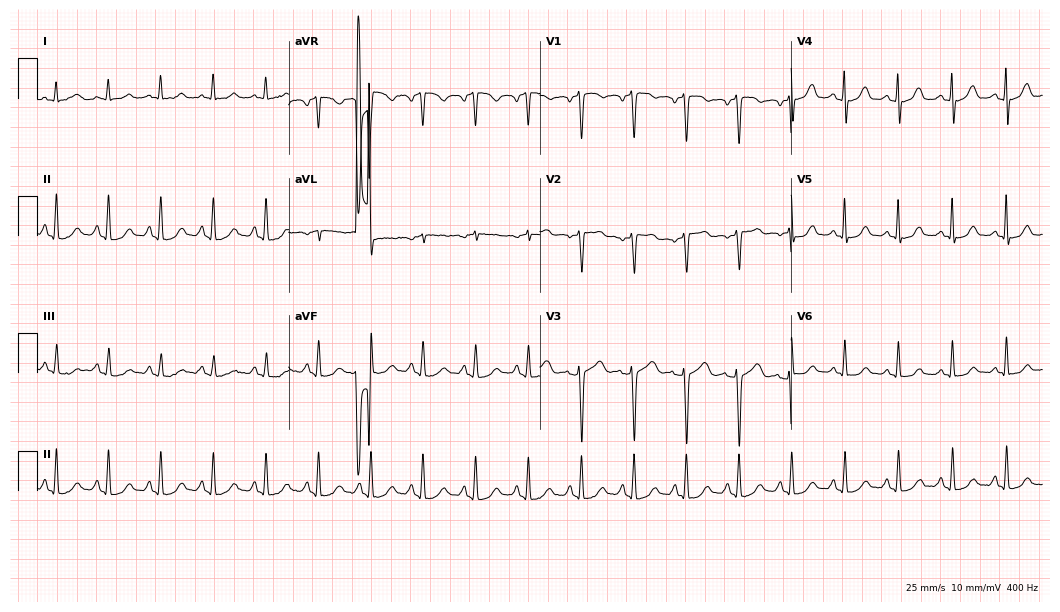
12-lead ECG (10.2-second recording at 400 Hz) from a 58-year-old female. Findings include sinus tachycardia (a sinus rate of 100 beats per minute or more).